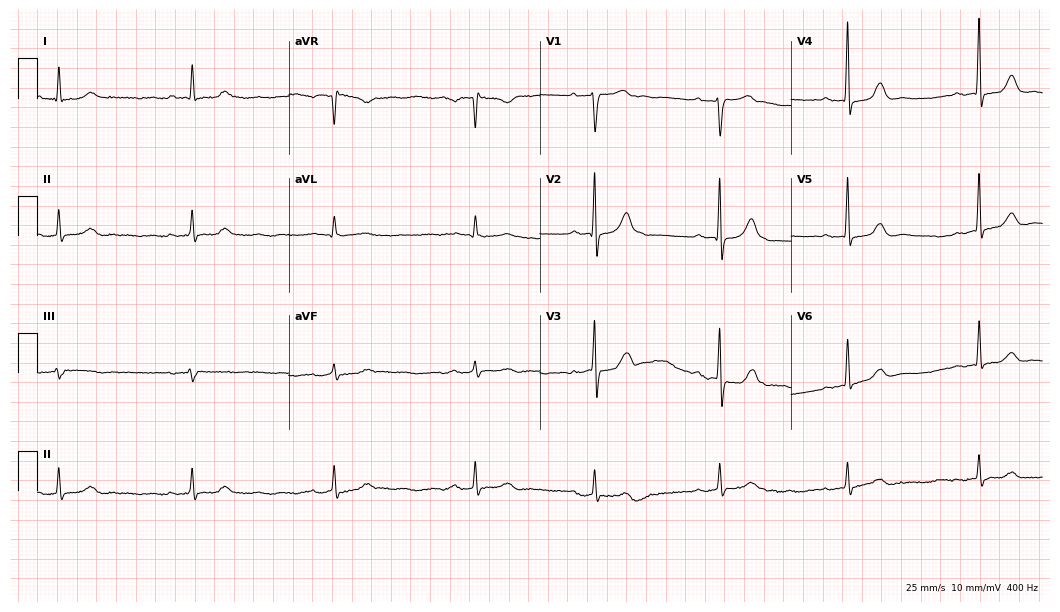
12-lead ECG from a man, 72 years old (10.2-second recording at 400 Hz). No first-degree AV block, right bundle branch block (RBBB), left bundle branch block (LBBB), sinus bradycardia, atrial fibrillation (AF) or sinus tachycardia recorded for this tracing.